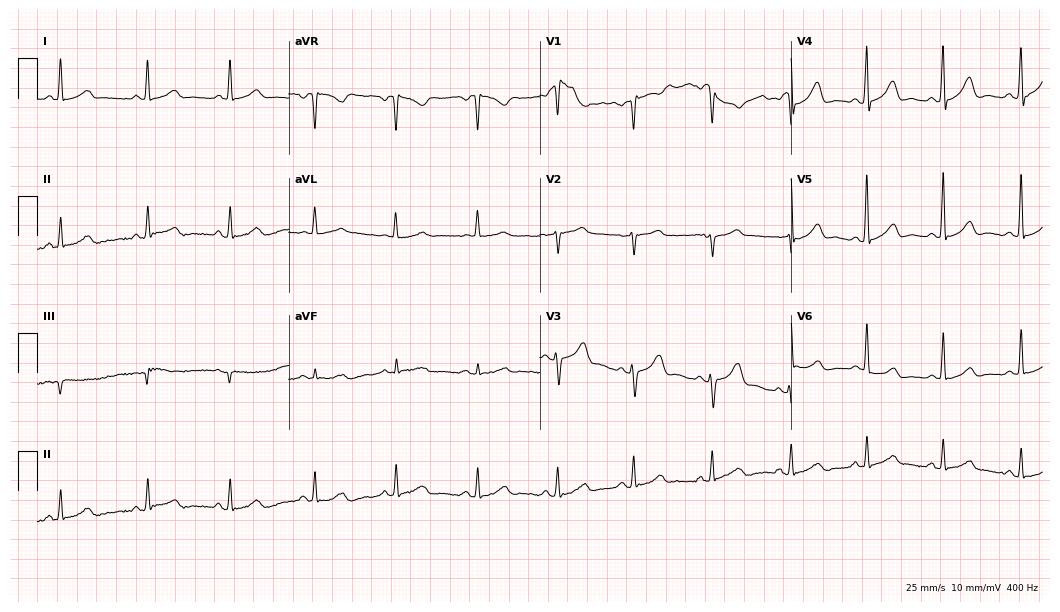
Electrocardiogram, a 46-year-old male. Overall reading on record: normal ECG.